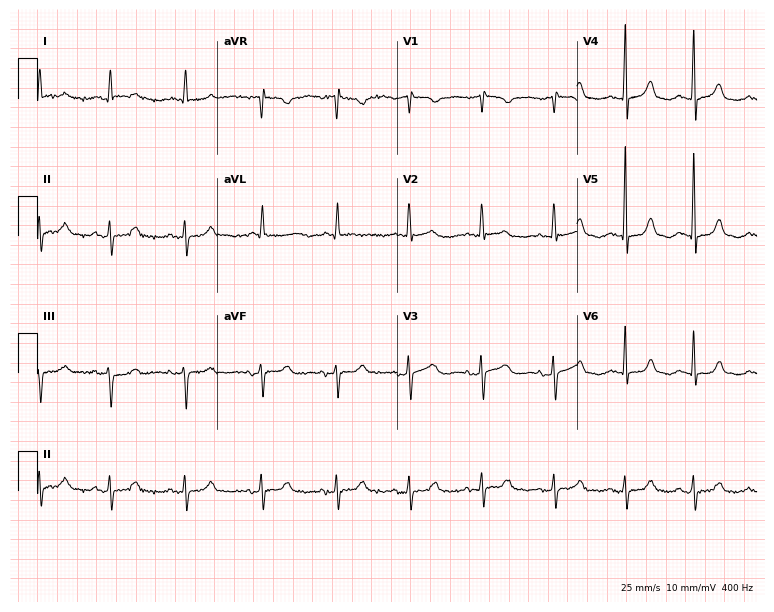
Electrocardiogram (7.3-second recording at 400 Hz), a 76-year-old female. Of the six screened findings (first-degree AV block, right bundle branch block, left bundle branch block, sinus bradycardia, atrial fibrillation, sinus tachycardia), none is recorded.